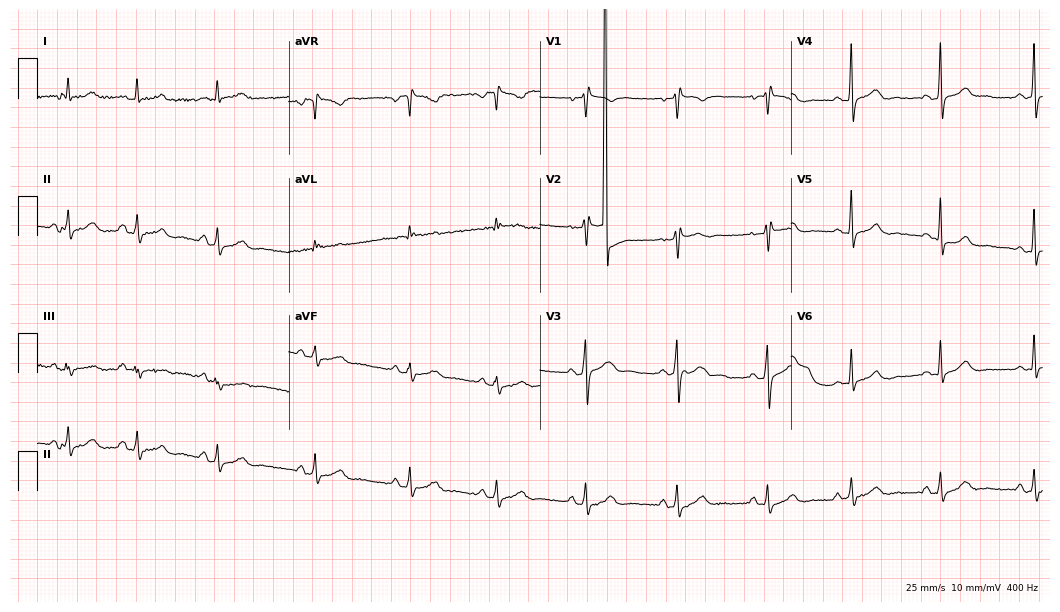
Resting 12-lead electrocardiogram (10.2-second recording at 400 Hz). Patient: a female, 25 years old. None of these six findings is recorded: first-degree AV block, right bundle branch block, left bundle branch block, sinus bradycardia, atrial fibrillation, sinus tachycardia. Findings outside these six are not listed.